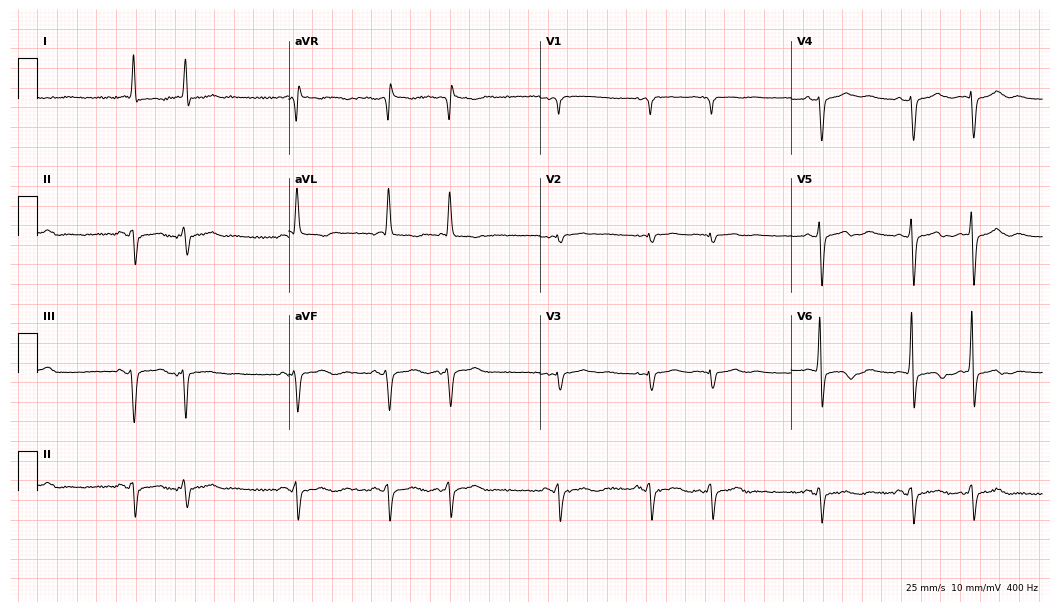
Electrocardiogram (10.2-second recording at 400 Hz), a female patient, 65 years old. Of the six screened findings (first-degree AV block, right bundle branch block, left bundle branch block, sinus bradycardia, atrial fibrillation, sinus tachycardia), none is recorded. Other findings, if any, are not listed.